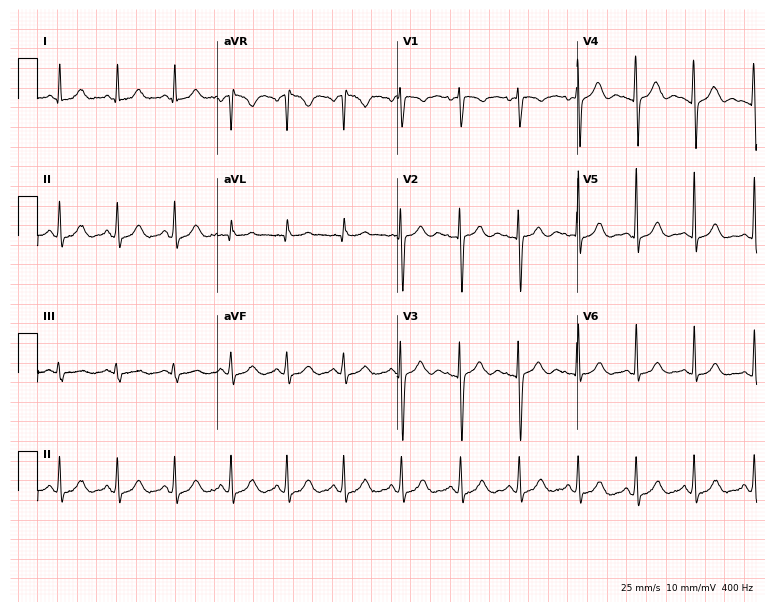
Standard 12-lead ECG recorded from a woman, 39 years old (7.3-second recording at 400 Hz). The tracing shows sinus tachycardia (a sinus rate of 100 beats per minute or more).